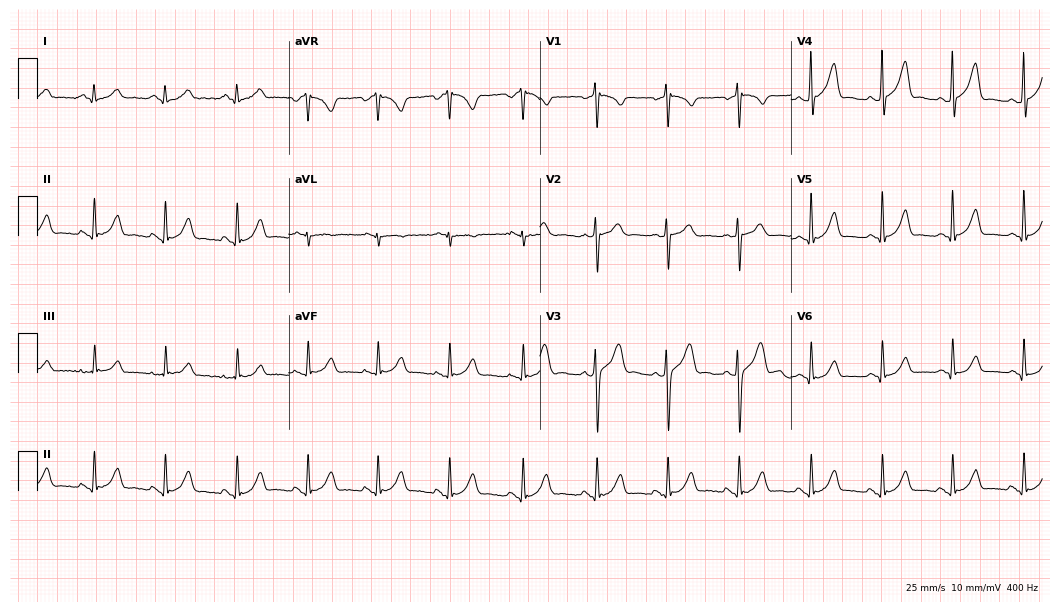
Standard 12-lead ECG recorded from a 22-year-old man (10.2-second recording at 400 Hz). Read as a normal ECG.